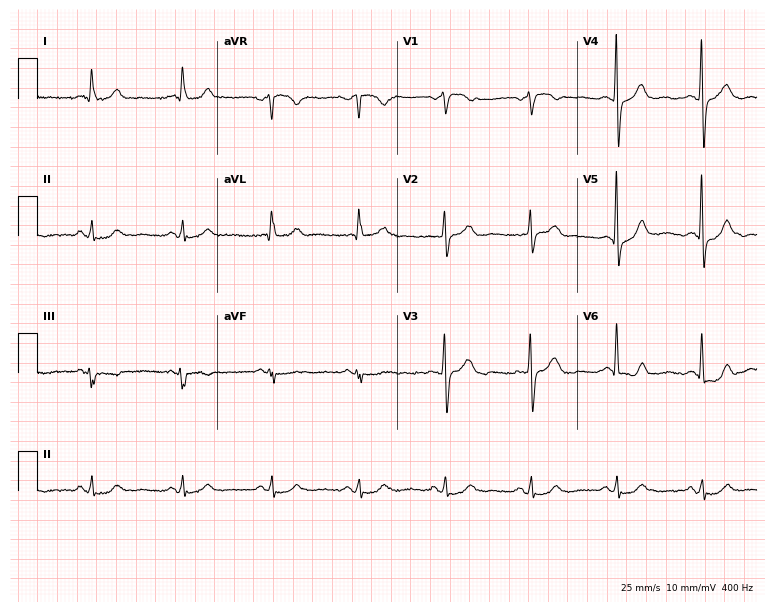
12-lead ECG from a 59-year-old male patient (7.3-second recording at 400 Hz). No first-degree AV block, right bundle branch block (RBBB), left bundle branch block (LBBB), sinus bradycardia, atrial fibrillation (AF) or sinus tachycardia recorded for this tracing.